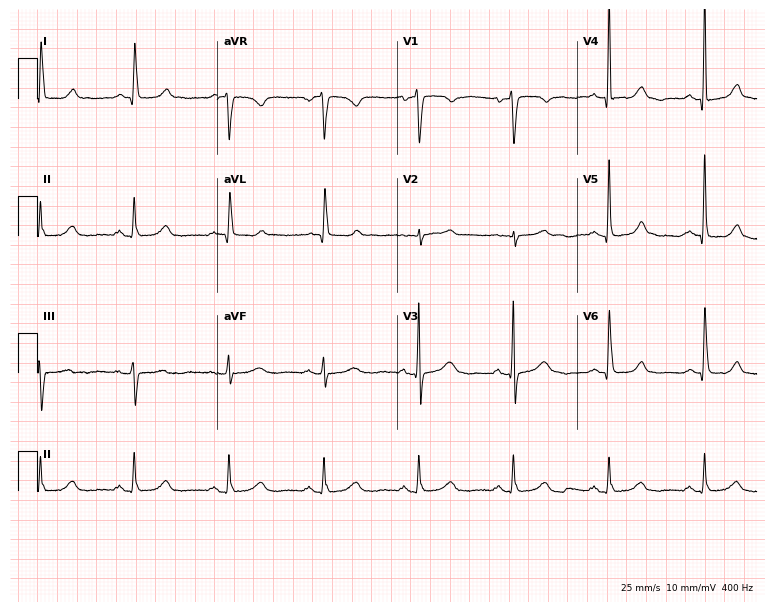
12-lead ECG from a female patient, 81 years old. Labelled as a normal ECG.